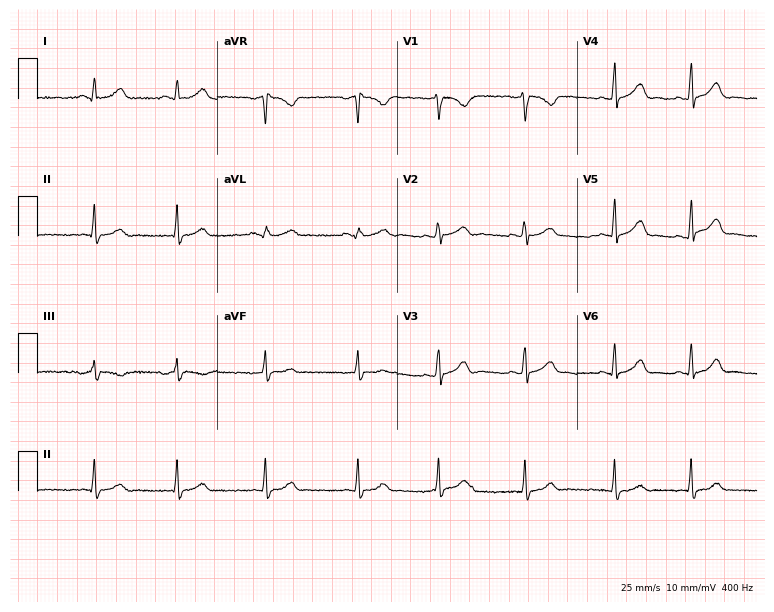
Standard 12-lead ECG recorded from a female patient, 20 years old. Read as a normal ECG.